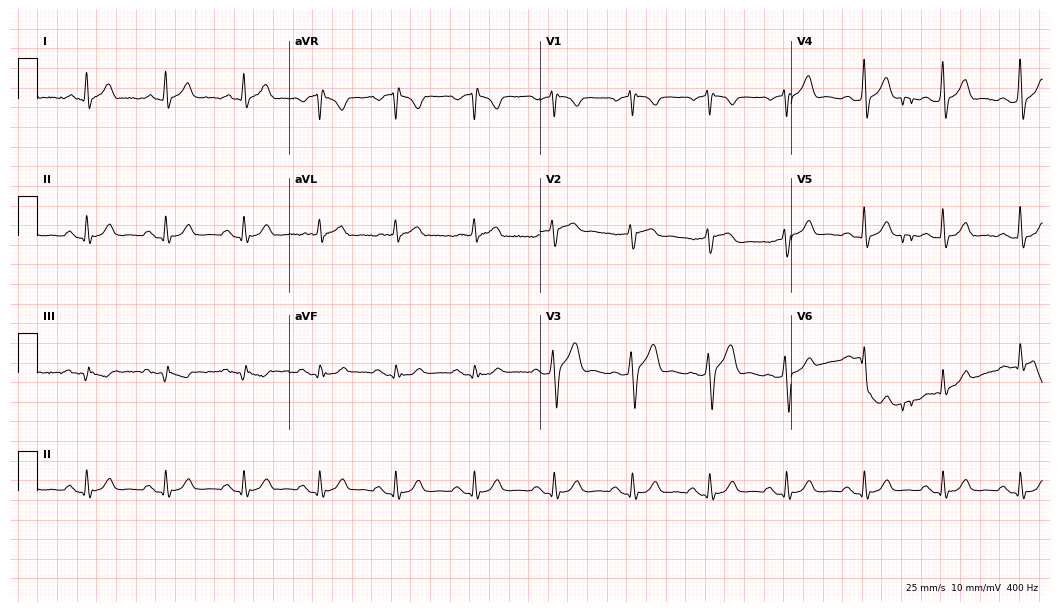
Resting 12-lead electrocardiogram. Patient: a male, 49 years old. None of these six findings is recorded: first-degree AV block, right bundle branch block, left bundle branch block, sinus bradycardia, atrial fibrillation, sinus tachycardia. Other findings, if any, are not listed.